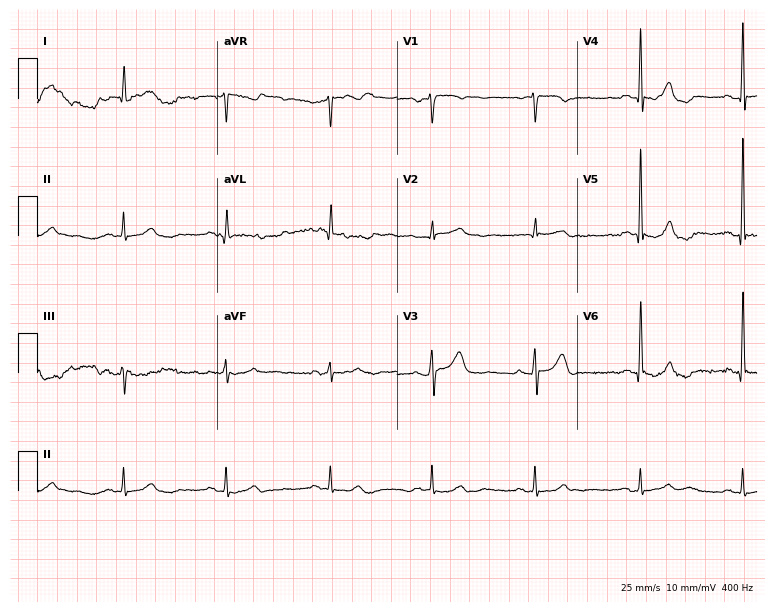
ECG — a 76-year-old male. Labelled as a normal ECG.